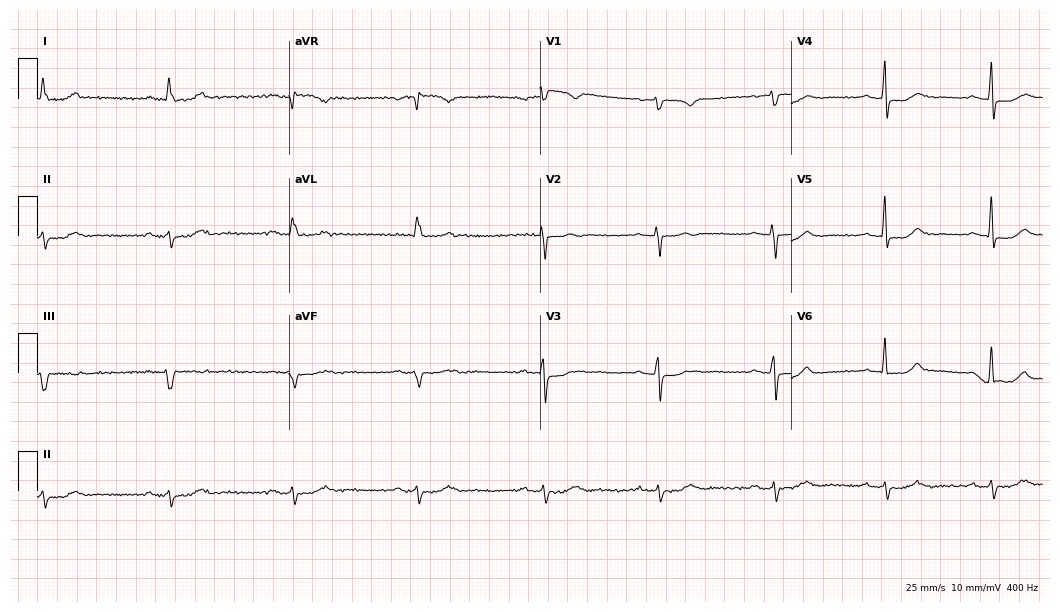
Resting 12-lead electrocardiogram (10.2-second recording at 400 Hz). Patient: a 67-year-old female. The tracing shows sinus bradycardia (a sinus rate of 50 beats per minute or less).